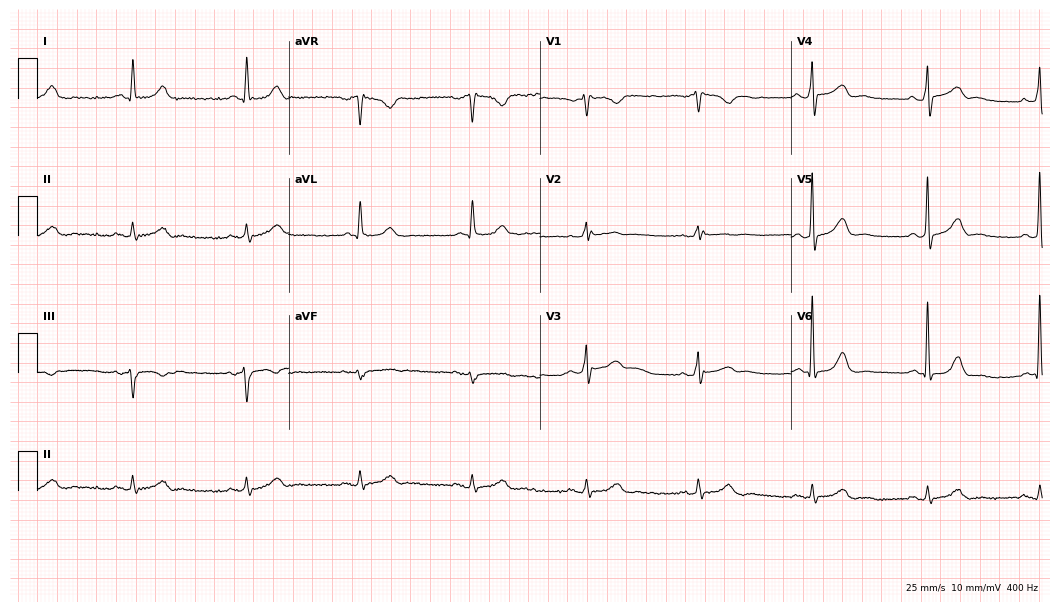
Resting 12-lead electrocardiogram (10.2-second recording at 400 Hz). Patient: a man, 67 years old. None of these six findings is recorded: first-degree AV block, right bundle branch block, left bundle branch block, sinus bradycardia, atrial fibrillation, sinus tachycardia.